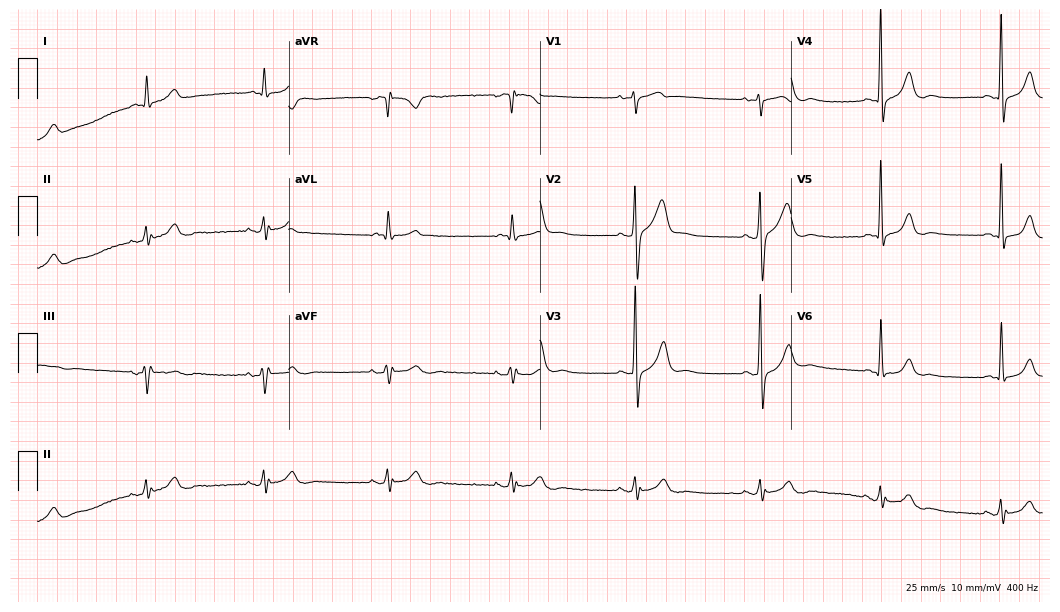
Electrocardiogram (10.2-second recording at 400 Hz), a 69-year-old man. Overall reading on record: normal ECG.